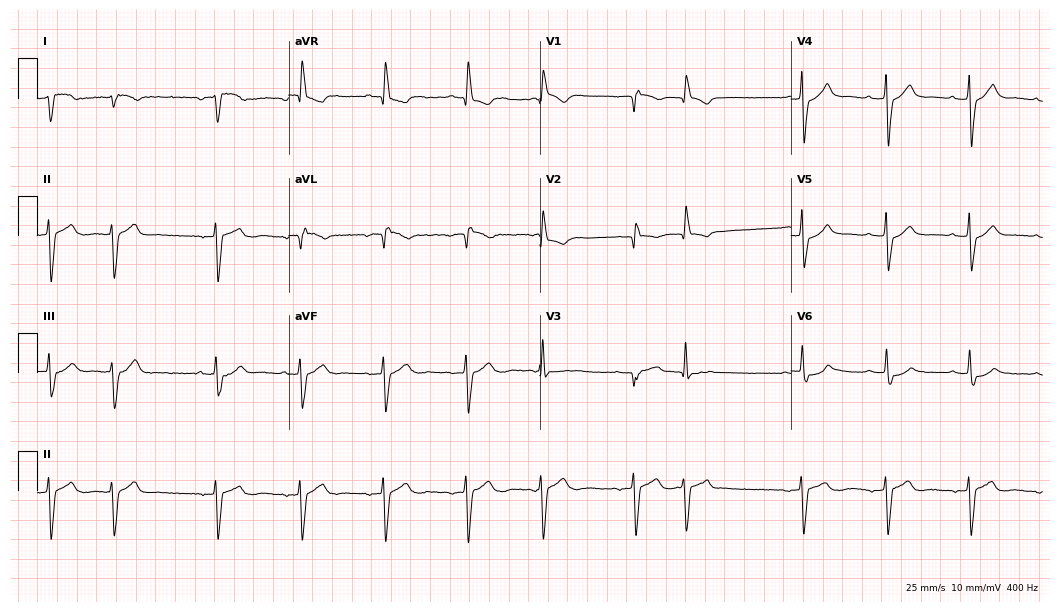
12-lead ECG from a 77-year-old male patient. No first-degree AV block, right bundle branch block, left bundle branch block, sinus bradycardia, atrial fibrillation or sinus tachycardia recorded for this tracing.